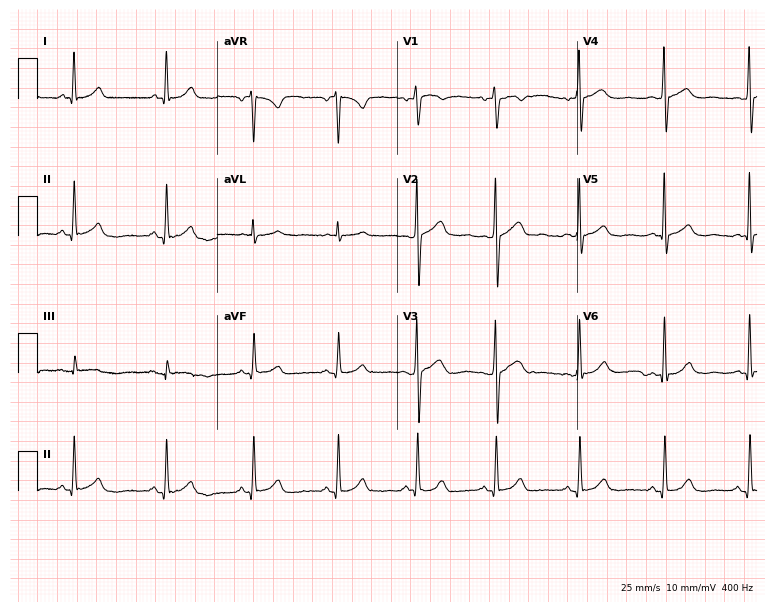
12-lead ECG from a female, 50 years old. Screened for six findings — first-degree AV block, right bundle branch block, left bundle branch block, sinus bradycardia, atrial fibrillation, sinus tachycardia — none is recorded.